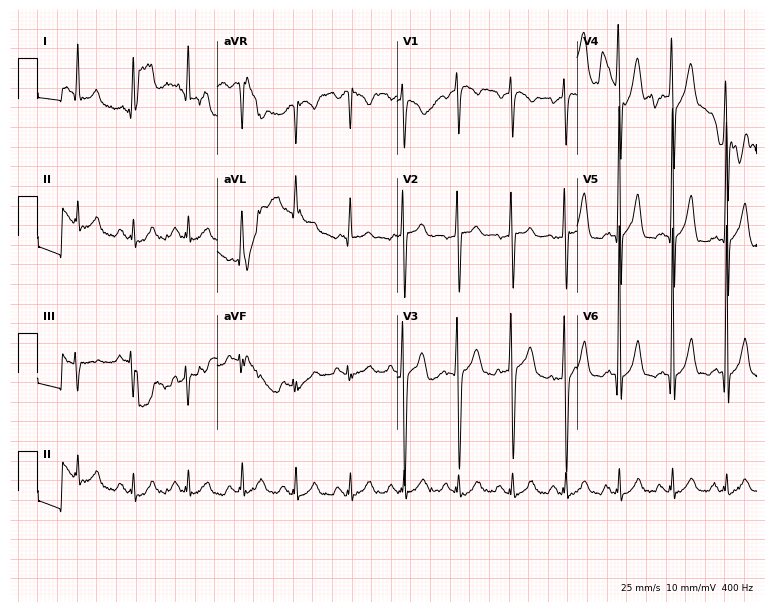
12-lead ECG (7.3-second recording at 400 Hz) from a 67-year-old male patient. Findings include sinus tachycardia (a sinus rate of 100 beats per minute or more).